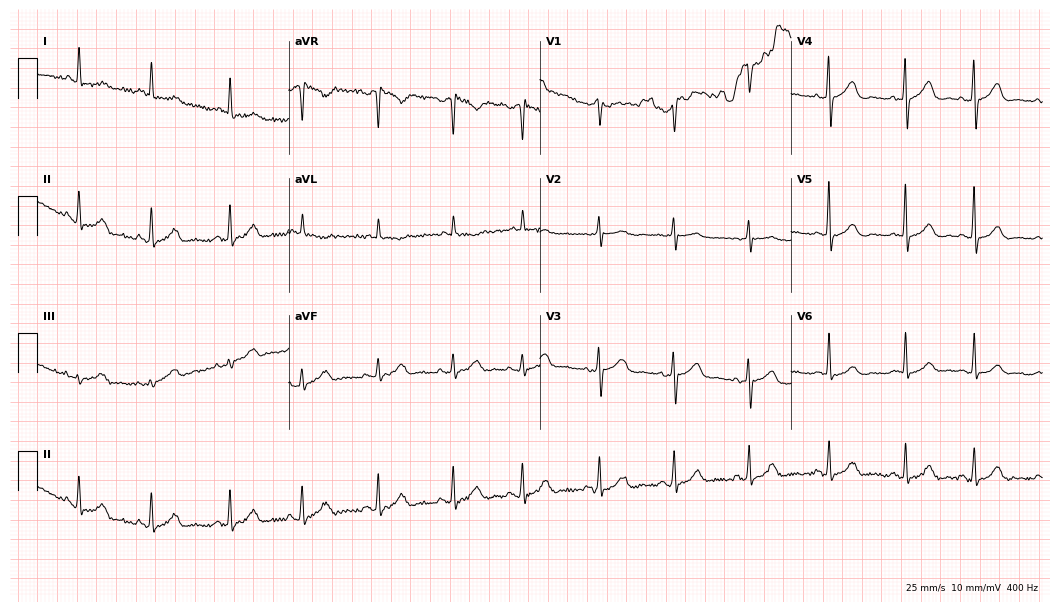
12-lead ECG (10.2-second recording at 400 Hz) from a 73-year-old female. Labelled as a normal ECG.